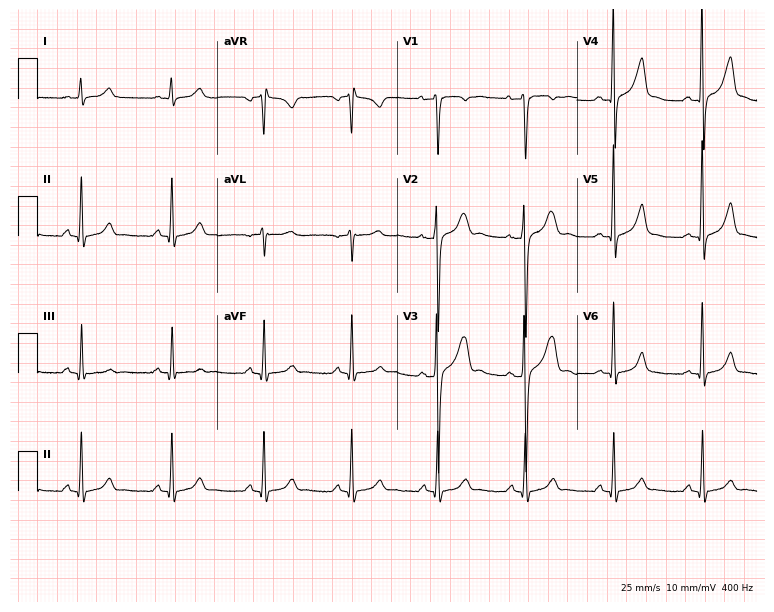
Standard 12-lead ECG recorded from a male, 33 years old (7.3-second recording at 400 Hz). Read as a normal ECG.